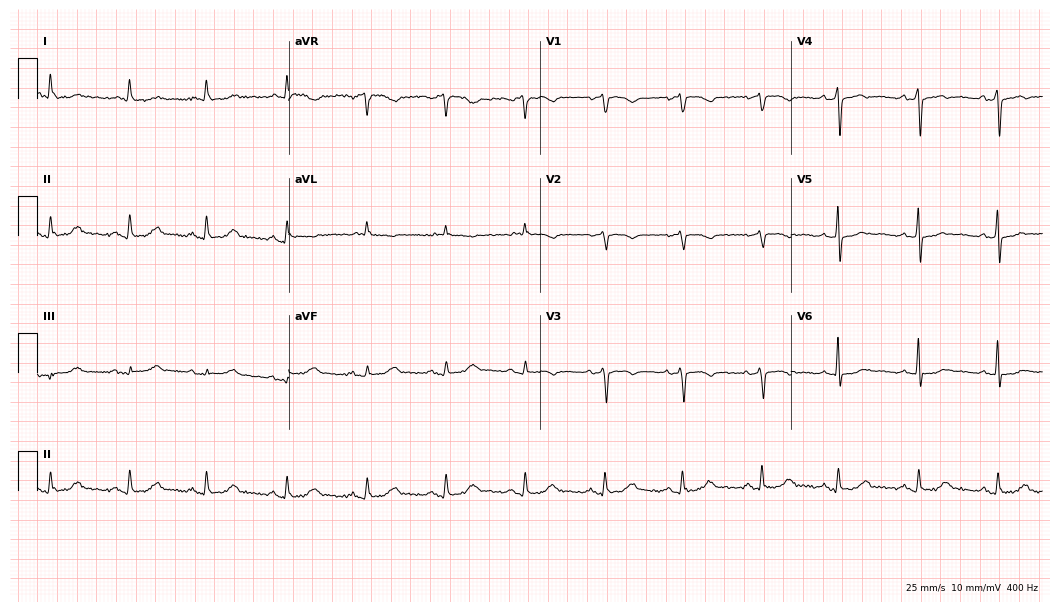
Standard 12-lead ECG recorded from a 78-year-old woman (10.2-second recording at 400 Hz). None of these six findings is recorded: first-degree AV block, right bundle branch block, left bundle branch block, sinus bradycardia, atrial fibrillation, sinus tachycardia.